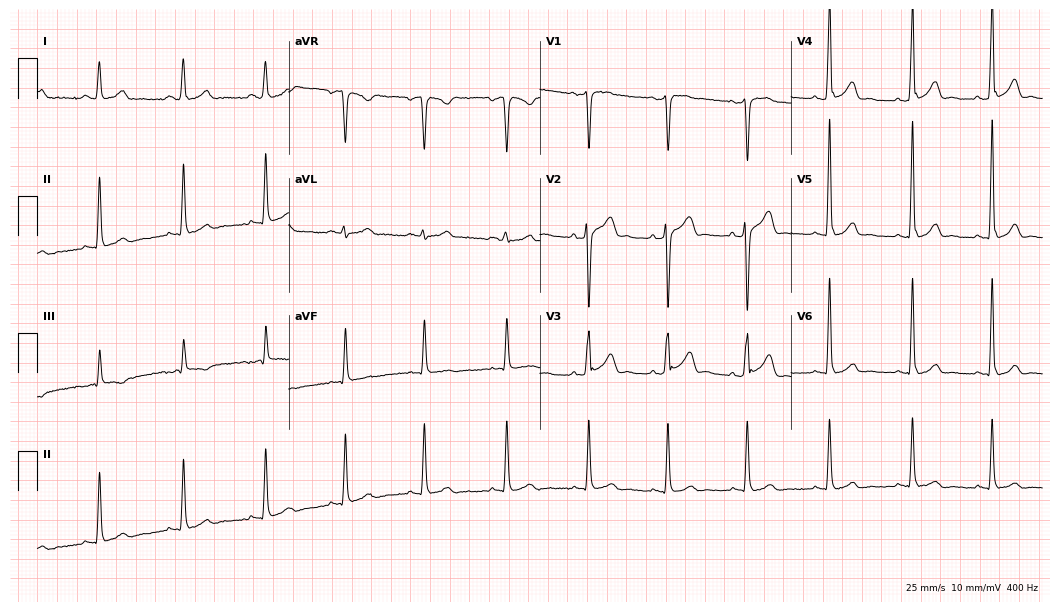
Standard 12-lead ECG recorded from a 31-year-old male patient (10.2-second recording at 400 Hz). Read as a normal ECG.